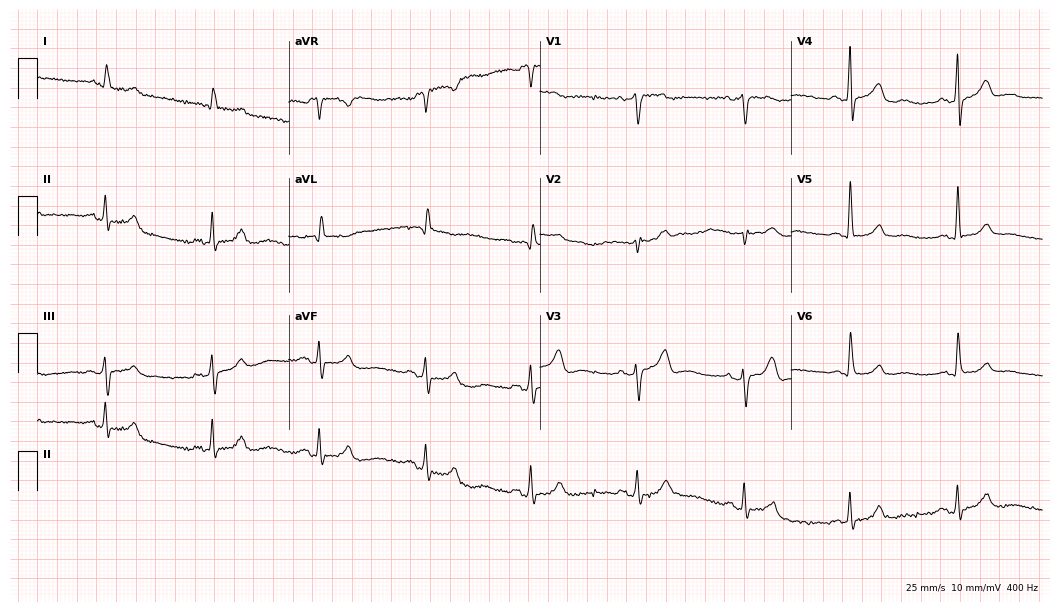
Electrocardiogram (10.2-second recording at 400 Hz), a female, 80 years old. Overall reading on record: normal ECG.